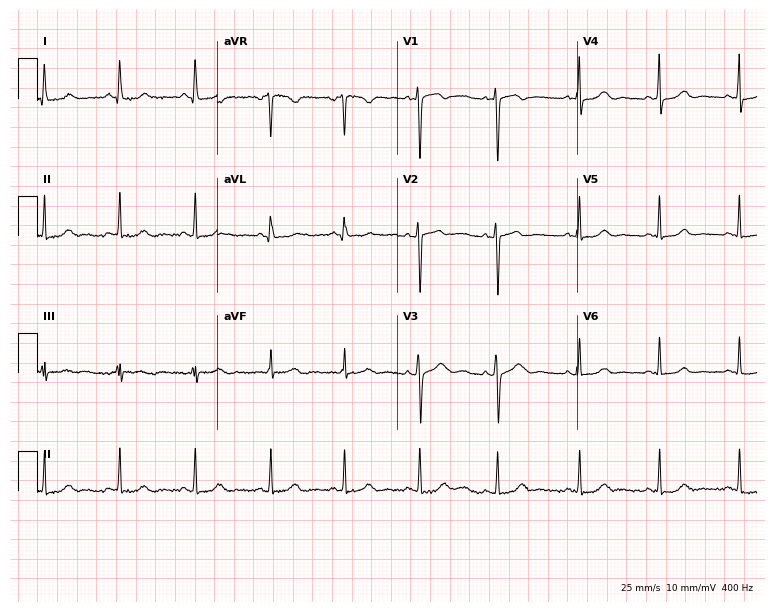
ECG — a 37-year-old female patient. Labelled as a normal ECG.